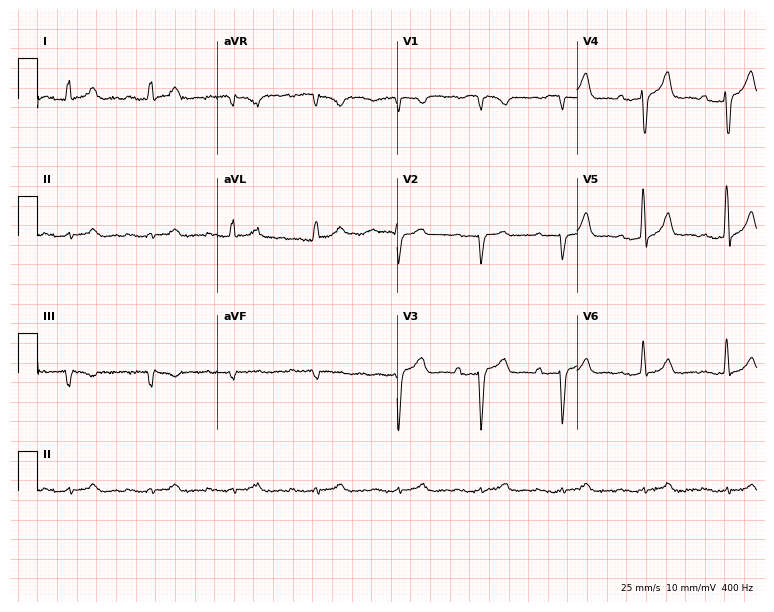
Electrocardiogram (7.3-second recording at 400 Hz), a 77-year-old man. Interpretation includes first-degree AV block.